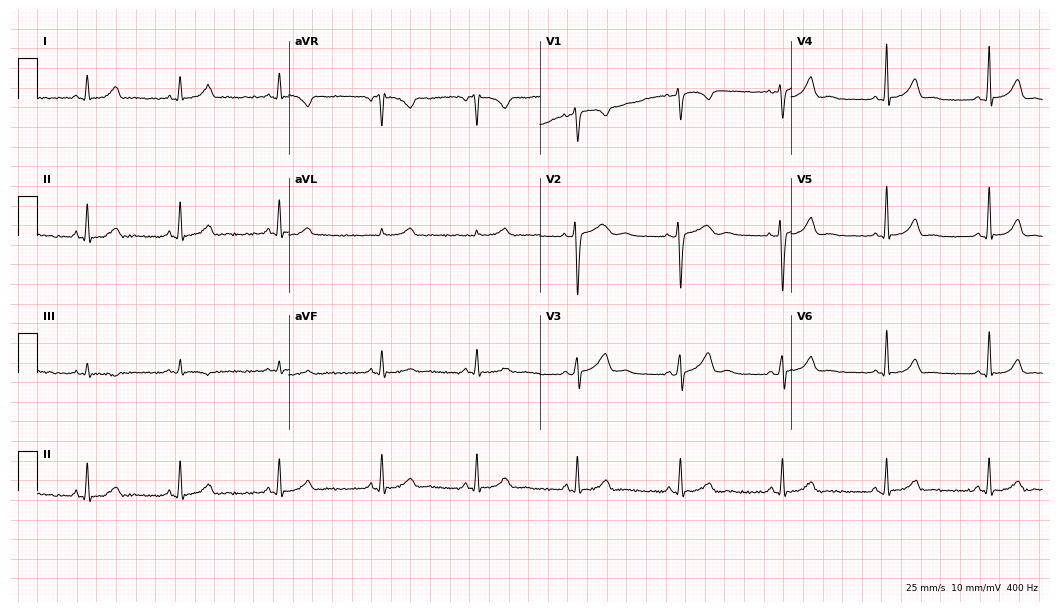
12-lead ECG (10.2-second recording at 400 Hz) from a female, 40 years old. Labelled as a normal ECG.